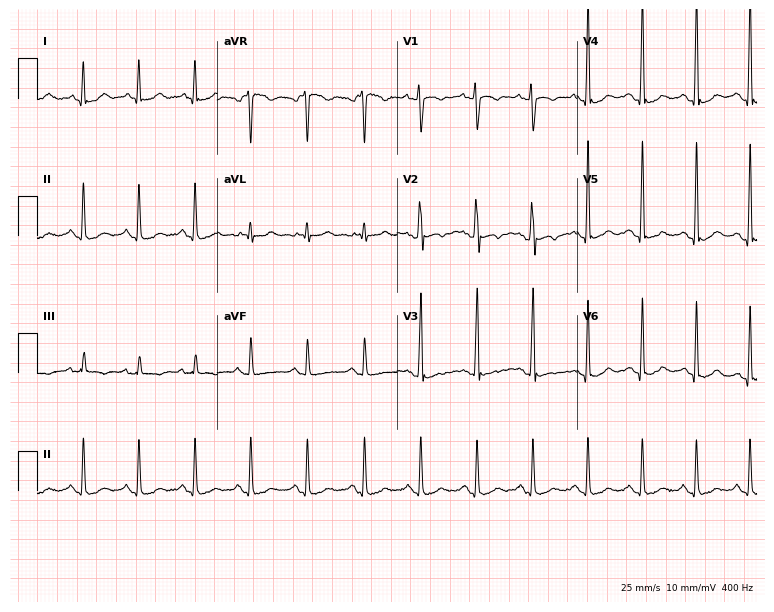
Electrocardiogram (7.3-second recording at 400 Hz), a man, 24 years old. Interpretation includes sinus tachycardia (a sinus rate of 100 beats per minute or more).